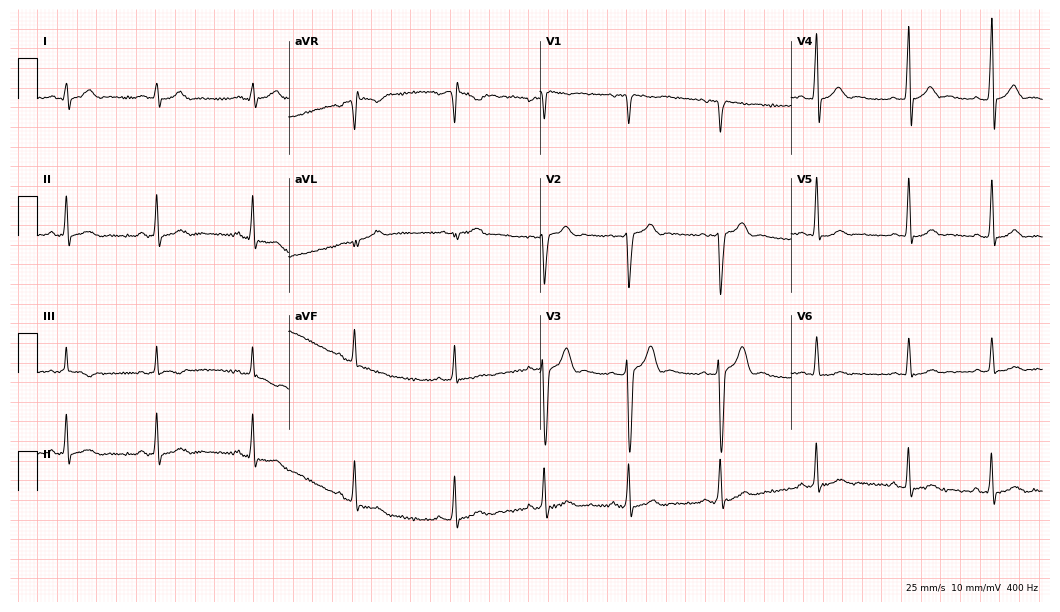
ECG — a 22-year-old male patient. Labelled as a normal ECG.